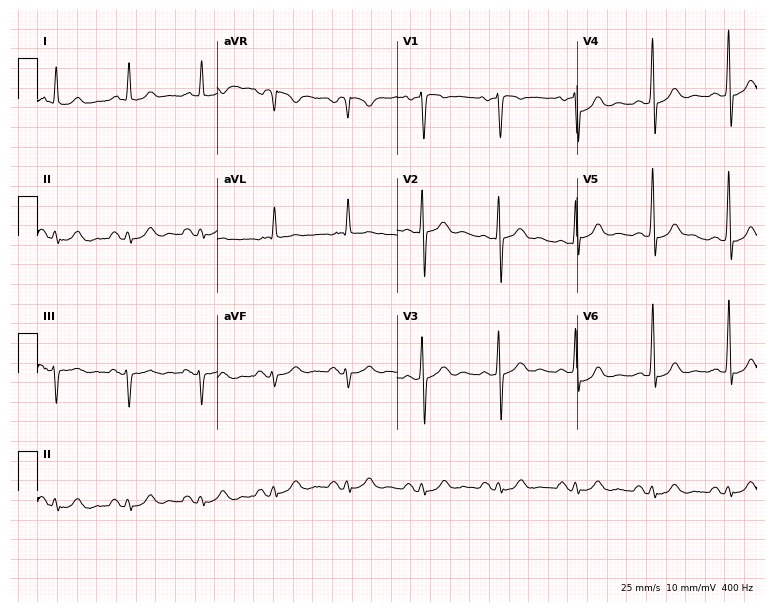
Resting 12-lead electrocardiogram (7.3-second recording at 400 Hz). Patient: a man, 73 years old. None of these six findings is recorded: first-degree AV block, right bundle branch block, left bundle branch block, sinus bradycardia, atrial fibrillation, sinus tachycardia. Other findings, if any, are not listed.